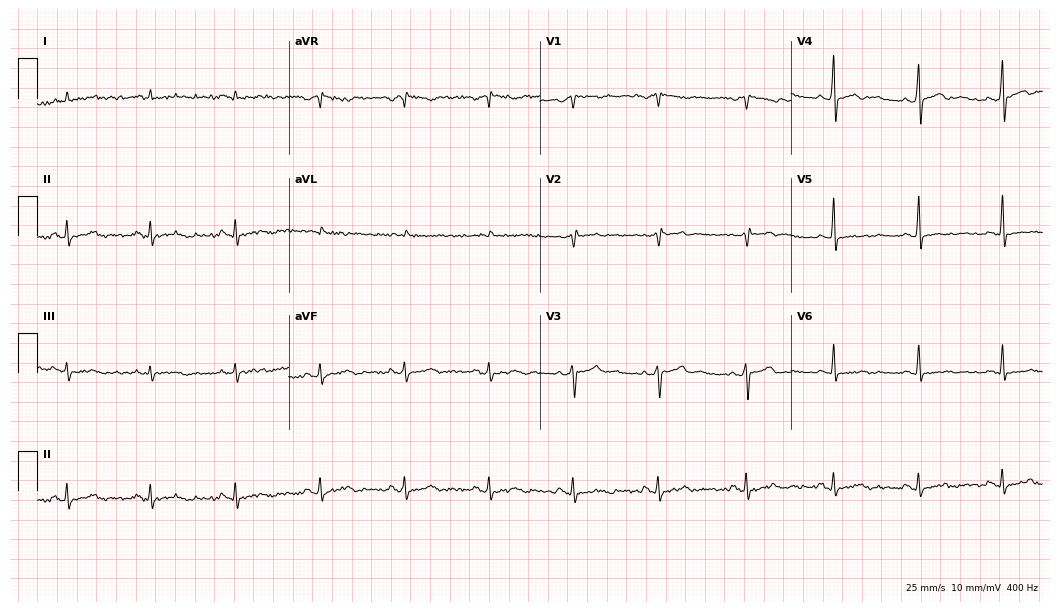
12-lead ECG from a 60-year-old man. Recorded interpretation: within normal limits.